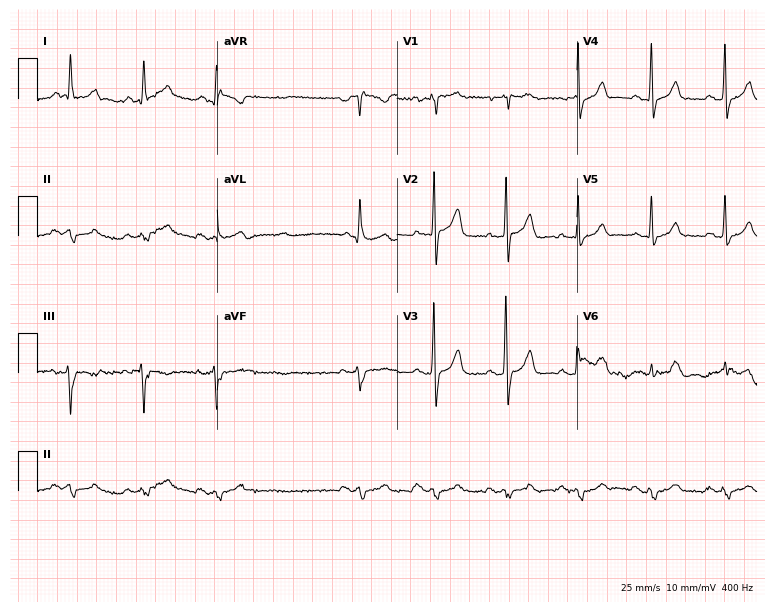
Electrocardiogram, a 67-year-old male. Of the six screened findings (first-degree AV block, right bundle branch block (RBBB), left bundle branch block (LBBB), sinus bradycardia, atrial fibrillation (AF), sinus tachycardia), none is recorded. Only these six findings were labelled.